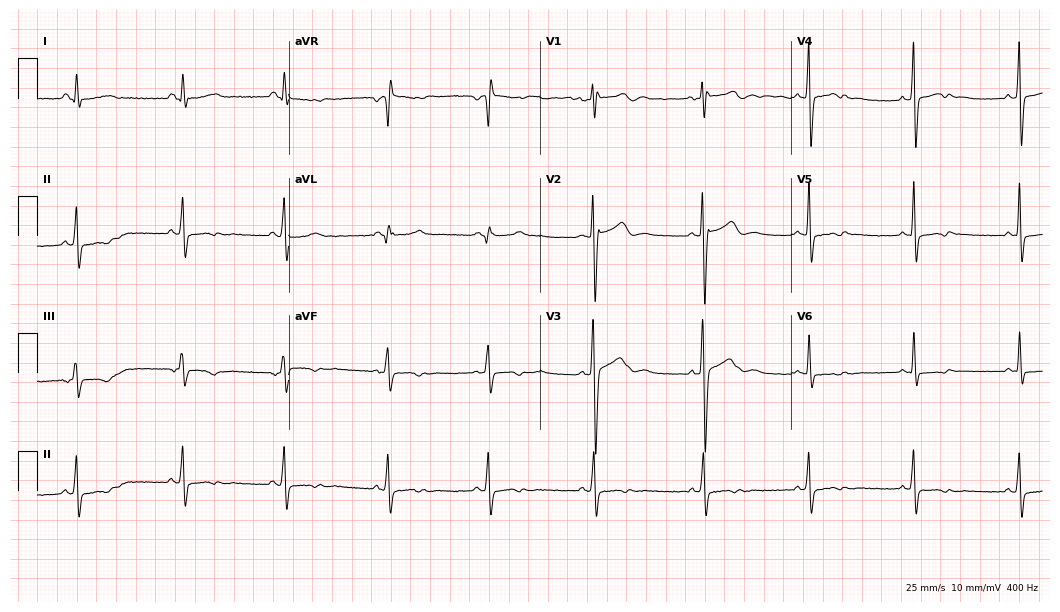
Resting 12-lead electrocardiogram. Patient: a 35-year-old male. None of these six findings is recorded: first-degree AV block, right bundle branch block, left bundle branch block, sinus bradycardia, atrial fibrillation, sinus tachycardia. Other findings, if any, are not listed.